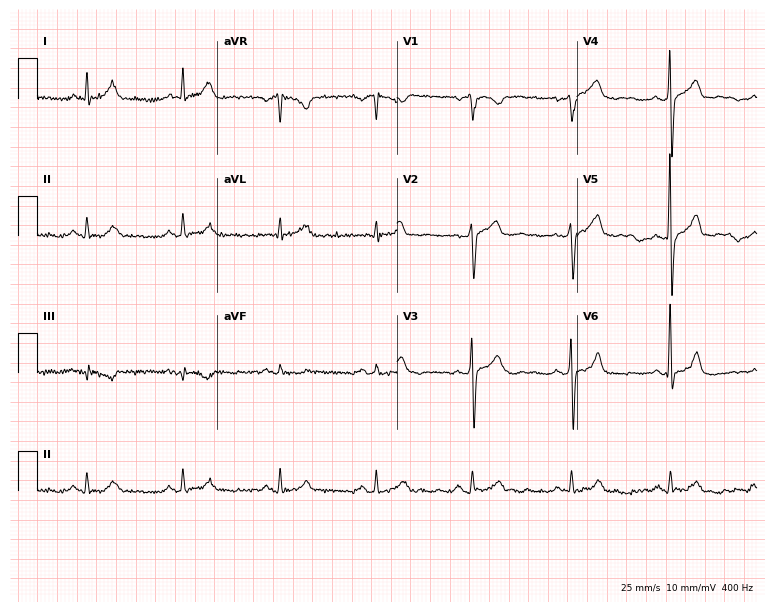
Electrocardiogram (7.3-second recording at 400 Hz), a male patient, 71 years old. Overall reading on record: normal ECG.